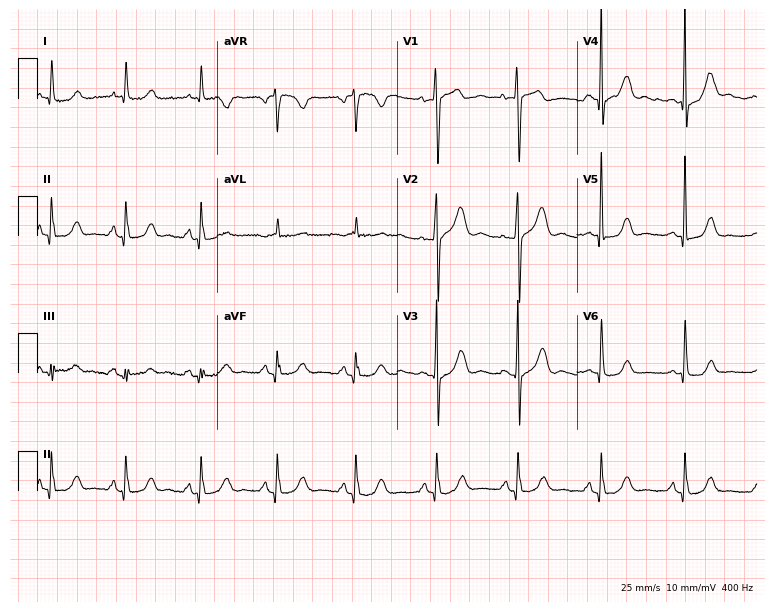
12-lead ECG from a woman, 54 years old. No first-degree AV block, right bundle branch block, left bundle branch block, sinus bradycardia, atrial fibrillation or sinus tachycardia recorded for this tracing.